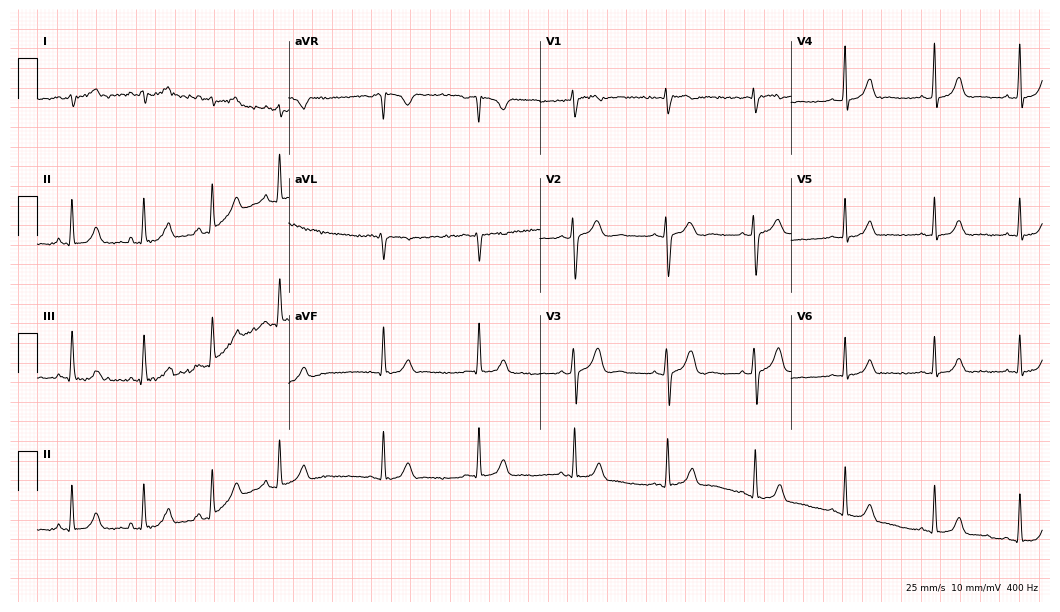
12-lead ECG from a woman, 19 years old. Recorded interpretation: within normal limits.